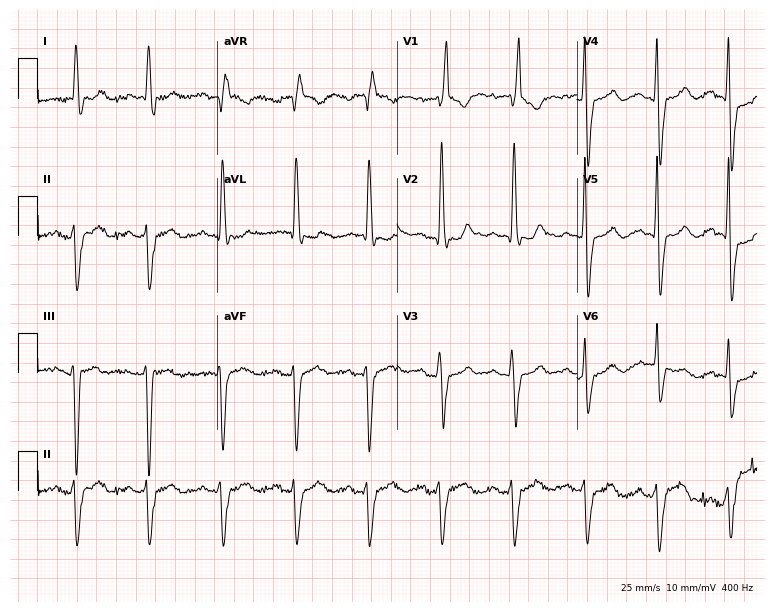
Resting 12-lead electrocardiogram. Patient: a man, 67 years old. The tracing shows right bundle branch block.